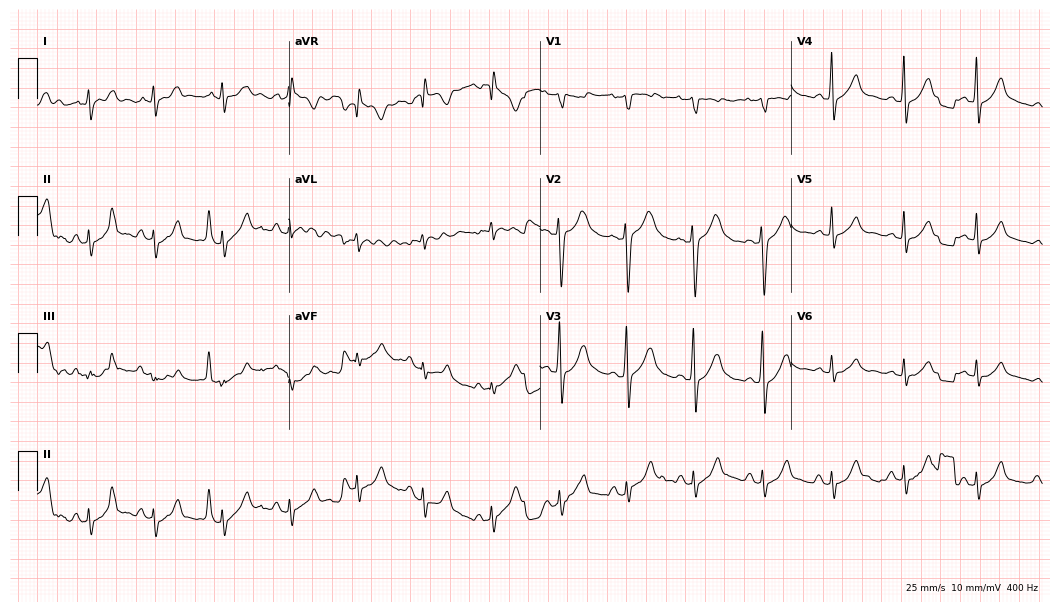
Resting 12-lead electrocardiogram. Patient: a male, 28 years old. Read as a normal ECG.